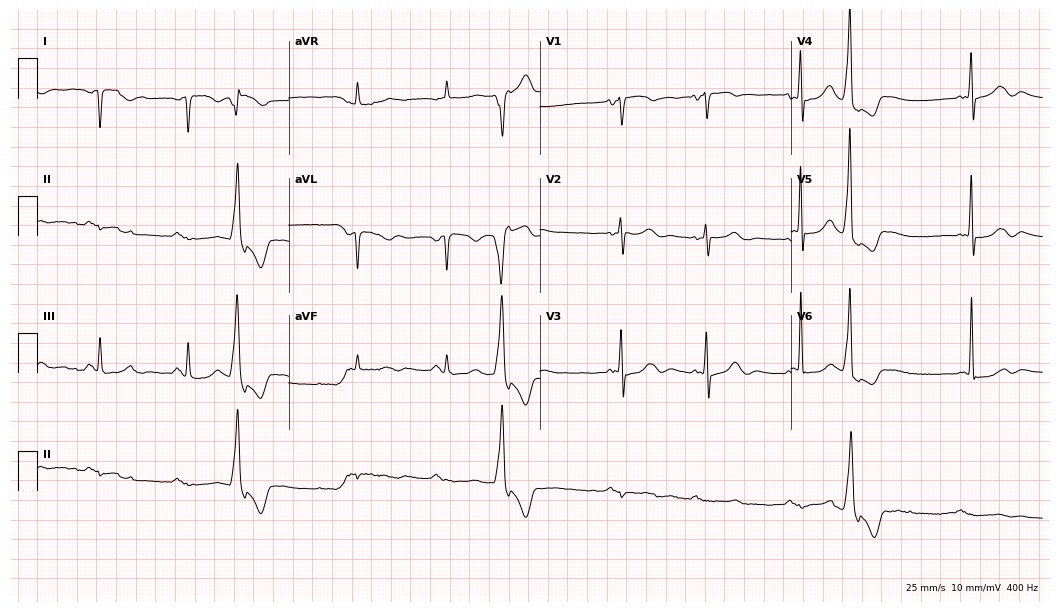
ECG — an 85-year-old female patient. Screened for six findings — first-degree AV block, right bundle branch block, left bundle branch block, sinus bradycardia, atrial fibrillation, sinus tachycardia — none is recorded. Other findings, if any, are not listed.